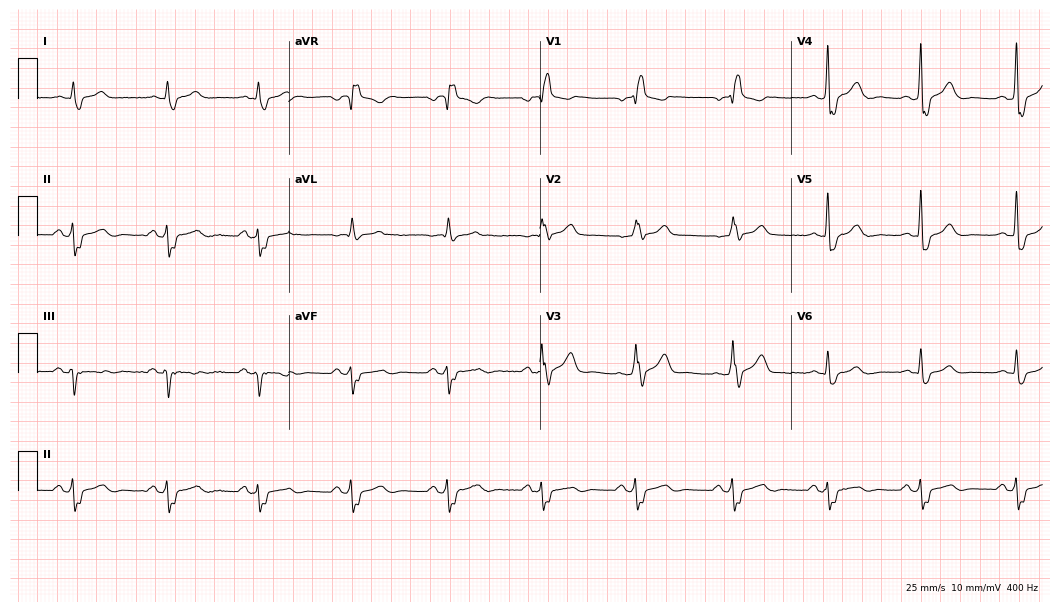
12-lead ECG from a 71-year-old male. Shows right bundle branch block.